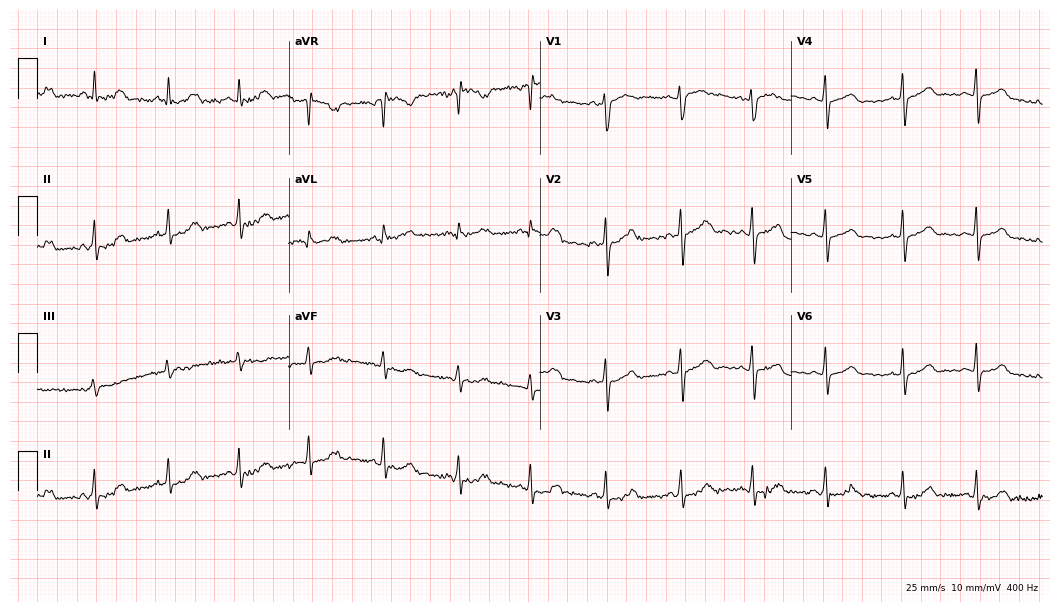
12-lead ECG from a 32-year-old female patient. Labelled as a normal ECG.